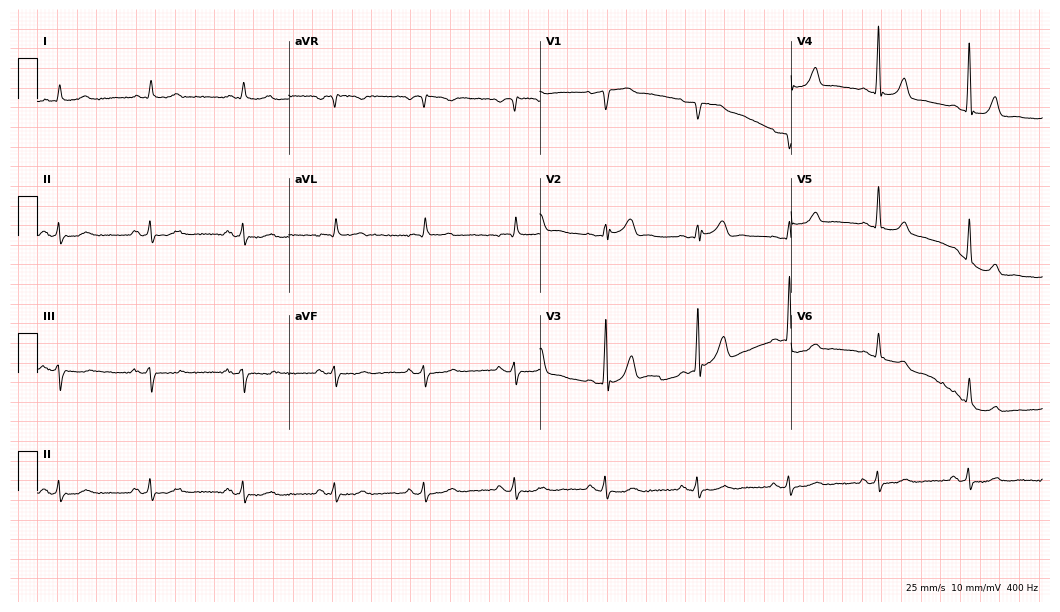
12-lead ECG from a man, 74 years old. Labelled as a normal ECG.